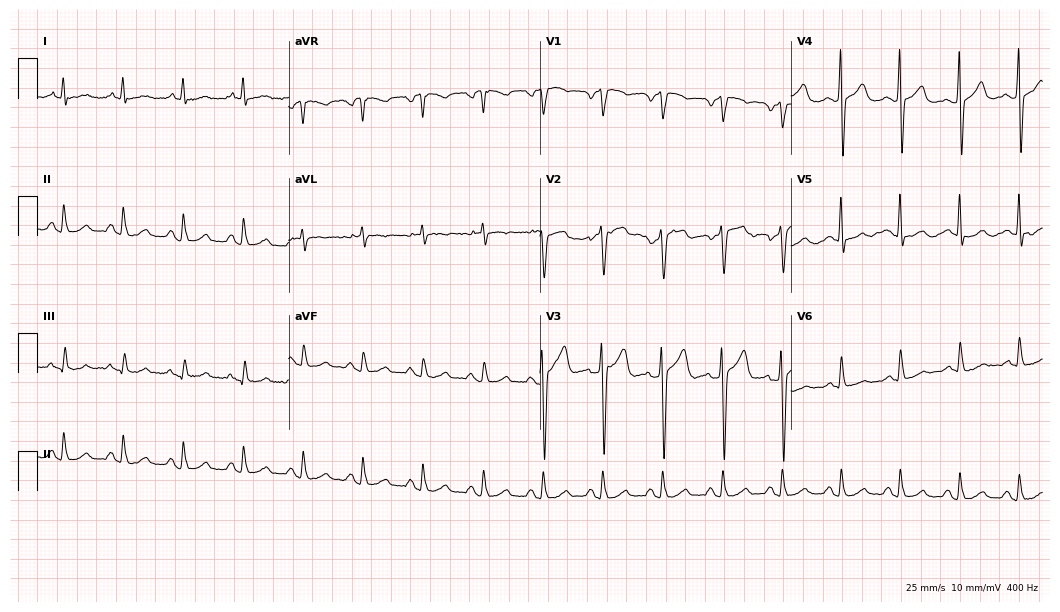
Resting 12-lead electrocardiogram. Patient: a male, 55 years old. None of these six findings is recorded: first-degree AV block, right bundle branch block, left bundle branch block, sinus bradycardia, atrial fibrillation, sinus tachycardia.